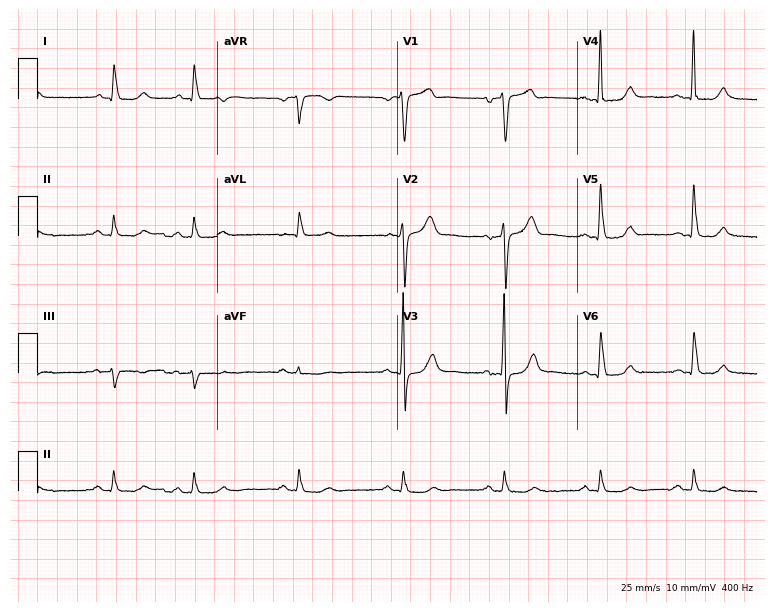
12-lead ECG from a 76-year-old female patient. No first-degree AV block, right bundle branch block (RBBB), left bundle branch block (LBBB), sinus bradycardia, atrial fibrillation (AF) or sinus tachycardia recorded for this tracing.